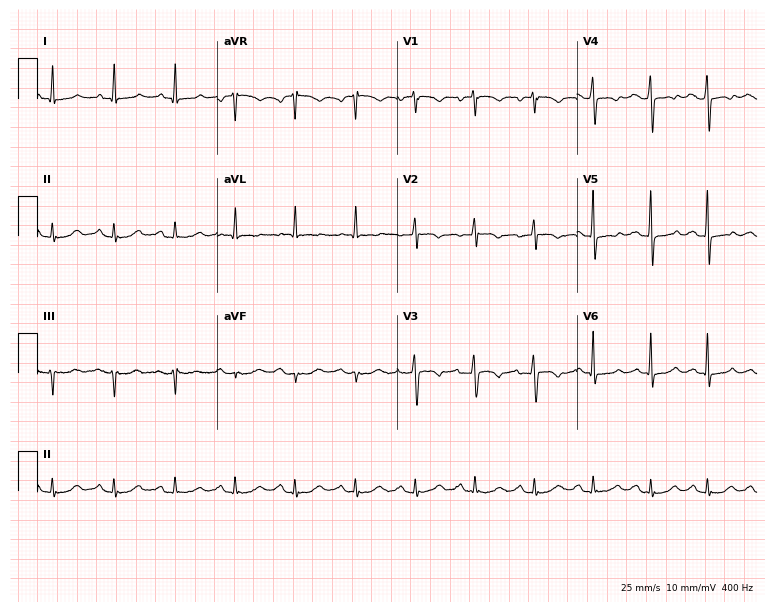
12-lead ECG (7.3-second recording at 400 Hz) from a 56-year-old woman. Screened for six findings — first-degree AV block, right bundle branch block, left bundle branch block, sinus bradycardia, atrial fibrillation, sinus tachycardia — none is recorded. Findings outside these six are not listed.